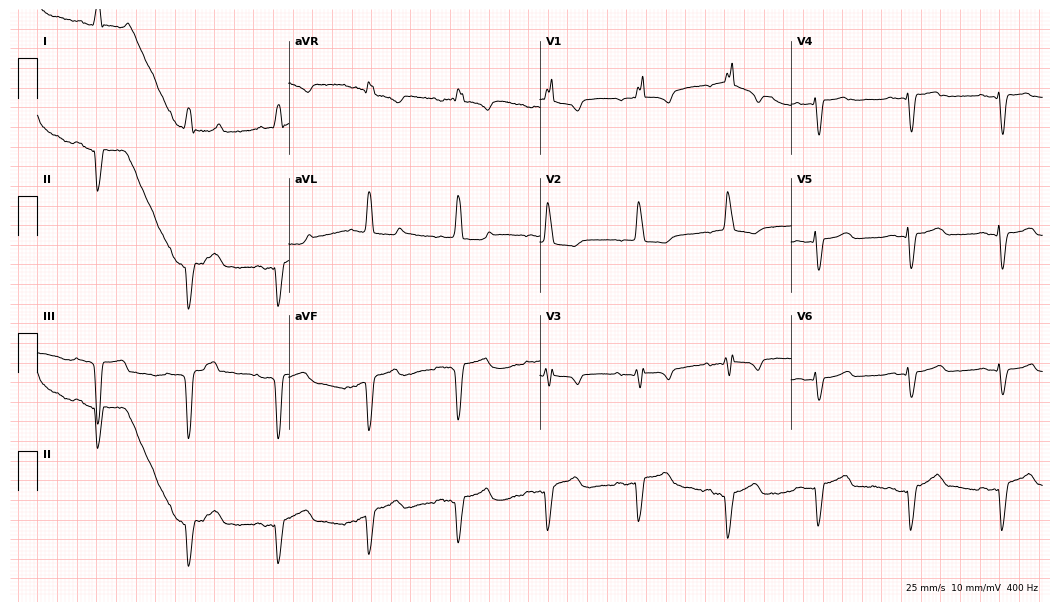
Resting 12-lead electrocardiogram (10.2-second recording at 400 Hz). Patient: a 76-year-old woman. The tracing shows right bundle branch block (RBBB).